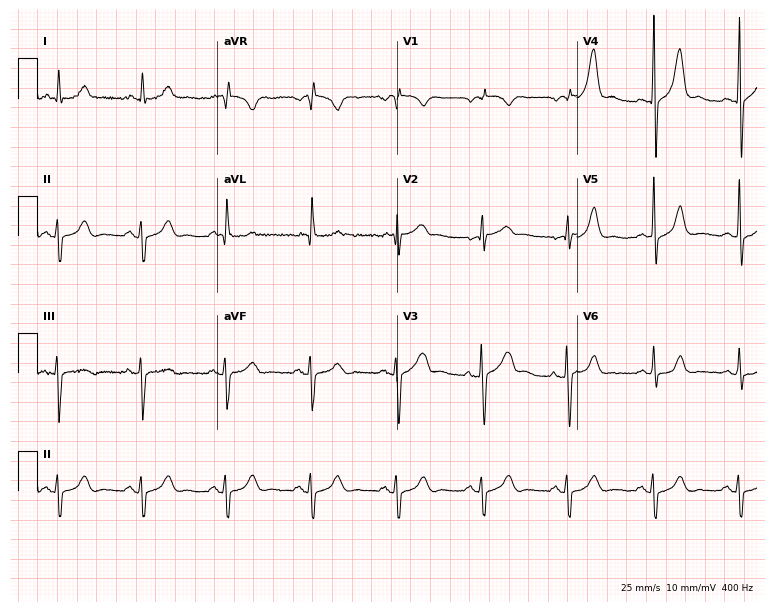
Resting 12-lead electrocardiogram (7.3-second recording at 400 Hz). Patient: a 74-year-old man. None of these six findings is recorded: first-degree AV block, right bundle branch block, left bundle branch block, sinus bradycardia, atrial fibrillation, sinus tachycardia. Other findings, if any, are not listed.